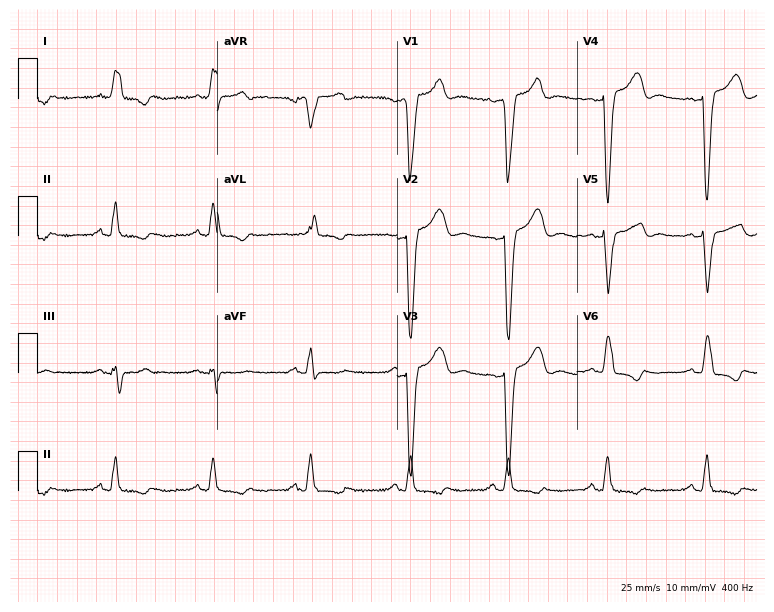
12-lead ECG from a male, 72 years old (7.3-second recording at 400 Hz). Shows left bundle branch block (LBBB).